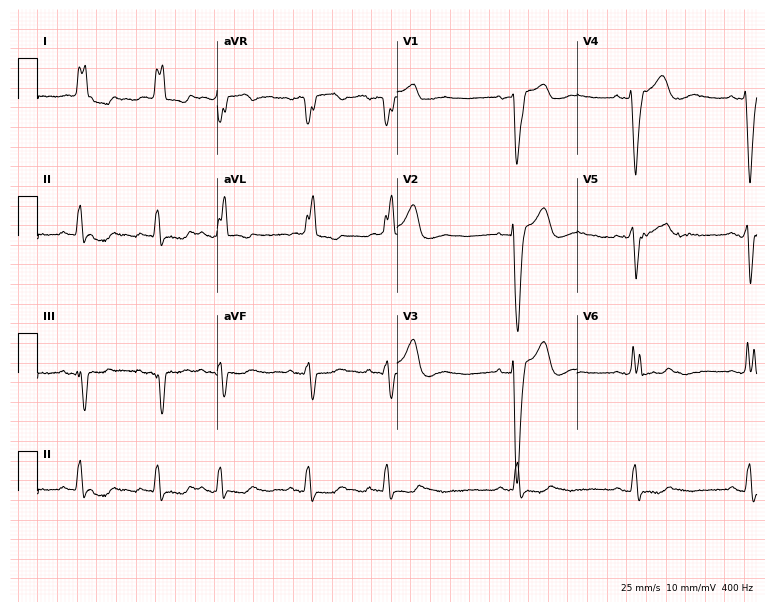
Electrocardiogram (7.3-second recording at 400 Hz), an 84-year-old female patient. Interpretation includes left bundle branch block (LBBB).